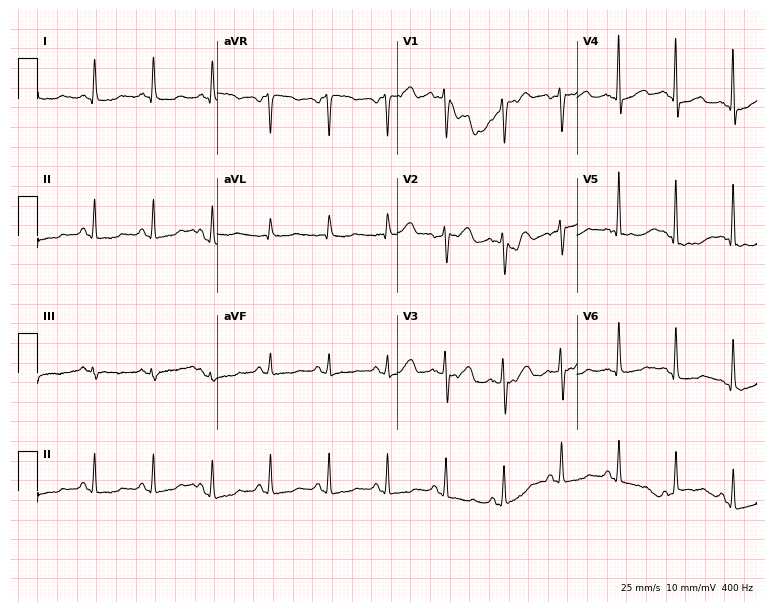
Standard 12-lead ECG recorded from a woman, 51 years old (7.3-second recording at 400 Hz). None of these six findings is recorded: first-degree AV block, right bundle branch block (RBBB), left bundle branch block (LBBB), sinus bradycardia, atrial fibrillation (AF), sinus tachycardia.